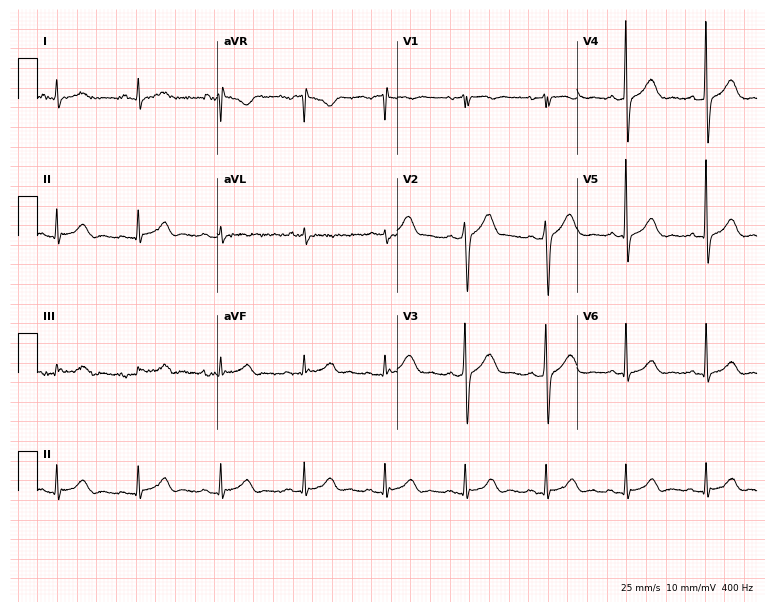
12-lead ECG (7.3-second recording at 400 Hz) from a male, 60 years old. Labelled as a normal ECG.